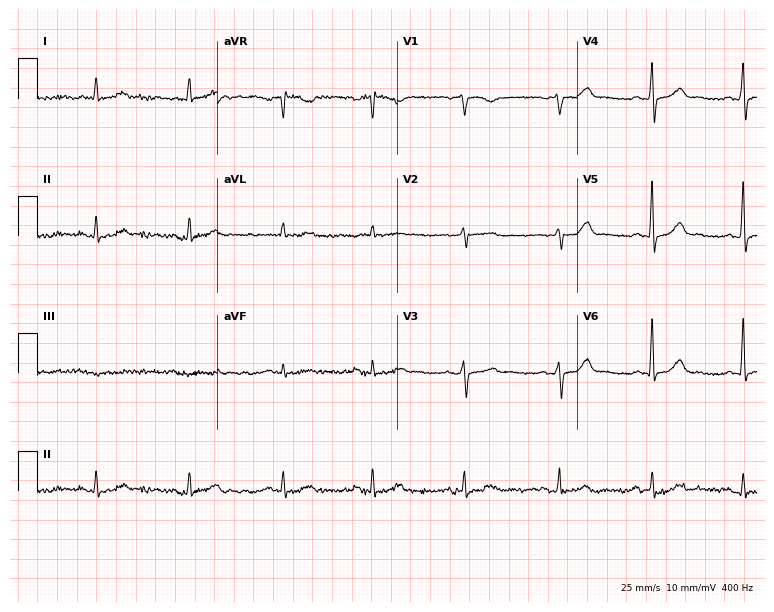
ECG — a 75-year-old woman. Labelled as a normal ECG.